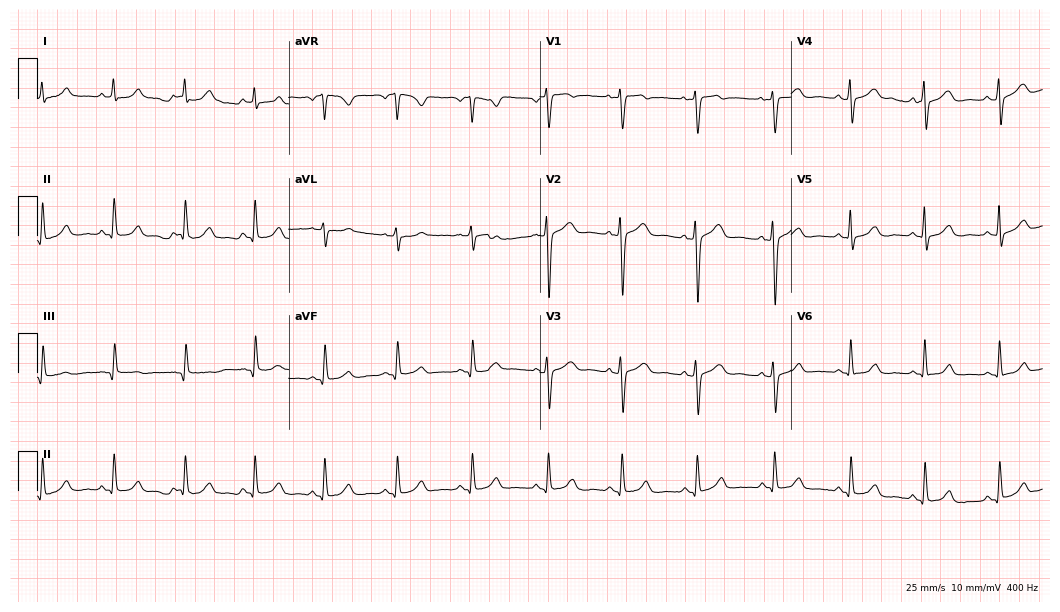
ECG — a 33-year-old female patient. Labelled as a normal ECG.